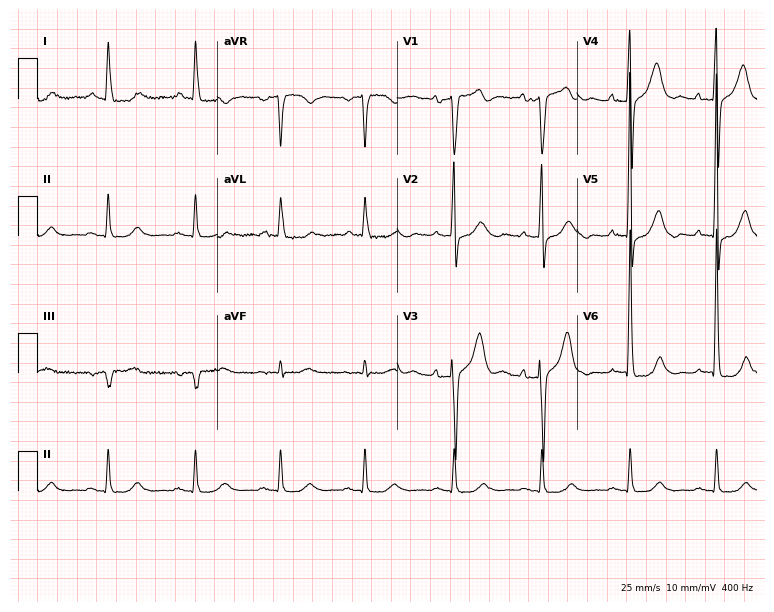
12-lead ECG (7.3-second recording at 400 Hz) from a male patient, 76 years old. Screened for six findings — first-degree AV block, right bundle branch block, left bundle branch block, sinus bradycardia, atrial fibrillation, sinus tachycardia — none is recorded.